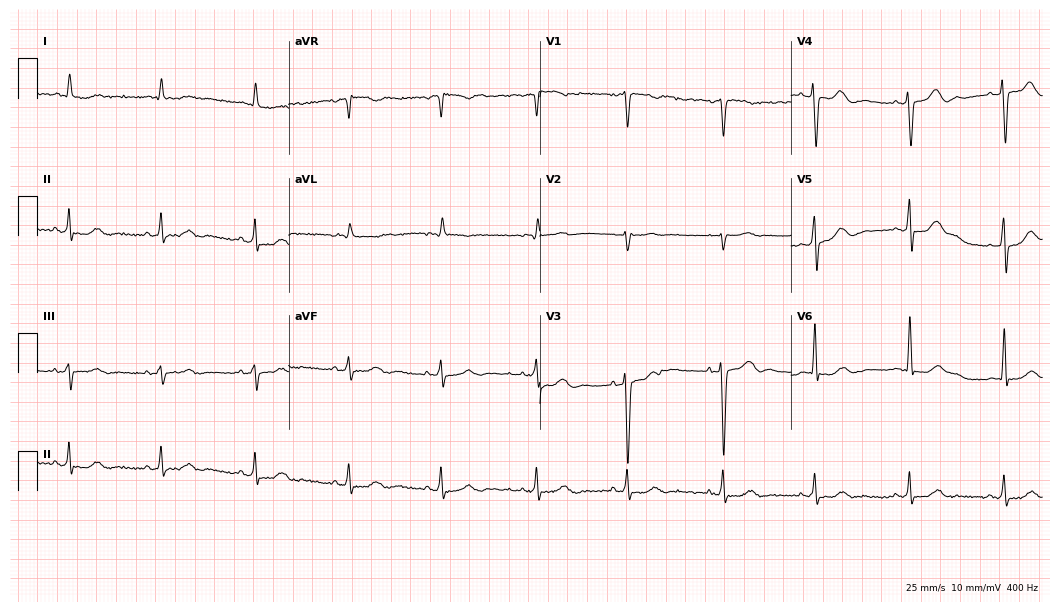
Resting 12-lead electrocardiogram (10.2-second recording at 400 Hz). Patient: a man, 67 years old. None of these six findings is recorded: first-degree AV block, right bundle branch block, left bundle branch block, sinus bradycardia, atrial fibrillation, sinus tachycardia. Other findings, if any, are not listed.